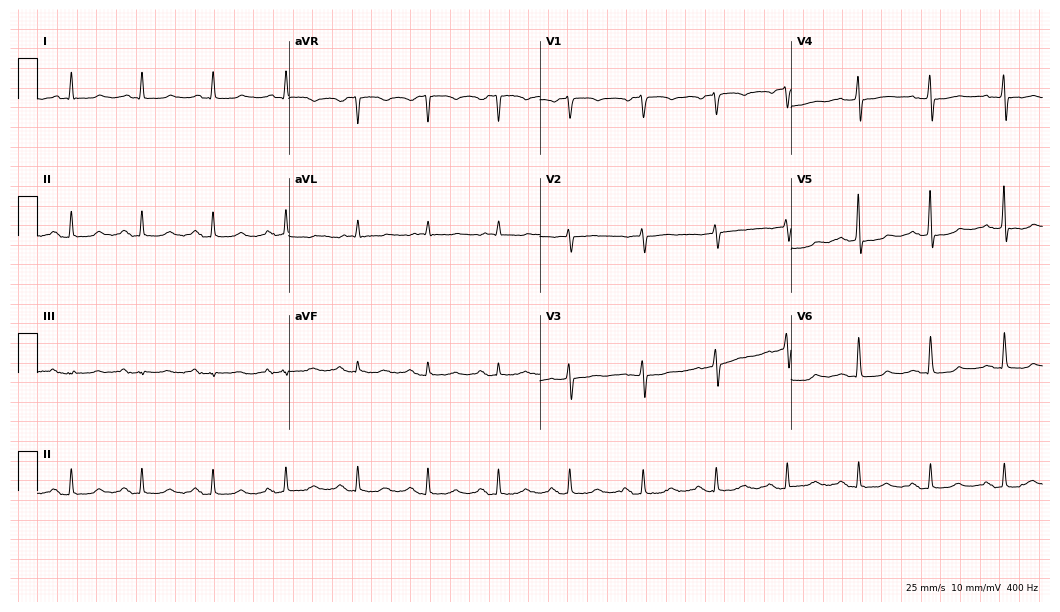
Standard 12-lead ECG recorded from a 70-year-old female patient (10.2-second recording at 400 Hz). None of these six findings is recorded: first-degree AV block, right bundle branch block (RBBB), left bundle branch block (LBBB), sinus bradycardia, atrial fibrillation (AF), sinus tachycardia.